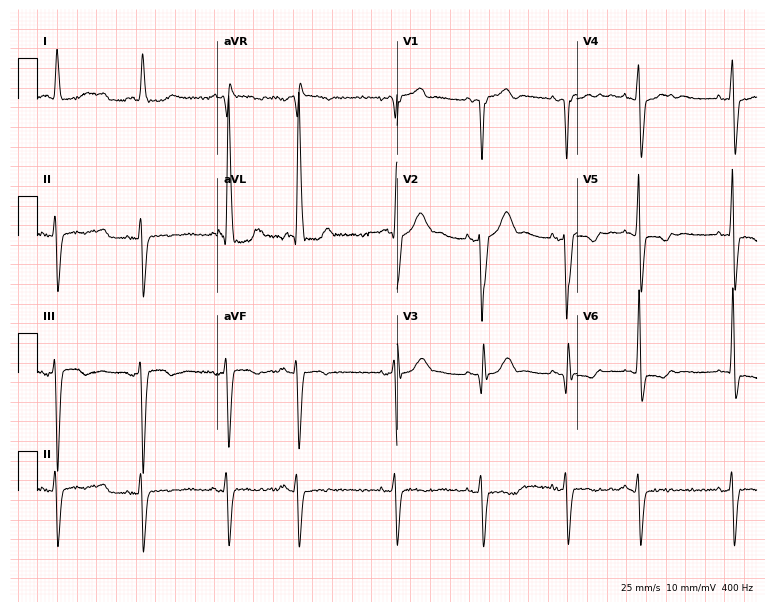
12-lead ECG from a male patient, 77 years old. No first-degree AV block, right bundle branch block, left bundle branch block, sinus bradycardia, atrial fibrillation or sinus tachycardia recorded for this tracing. Other findings, if any, are not listed.